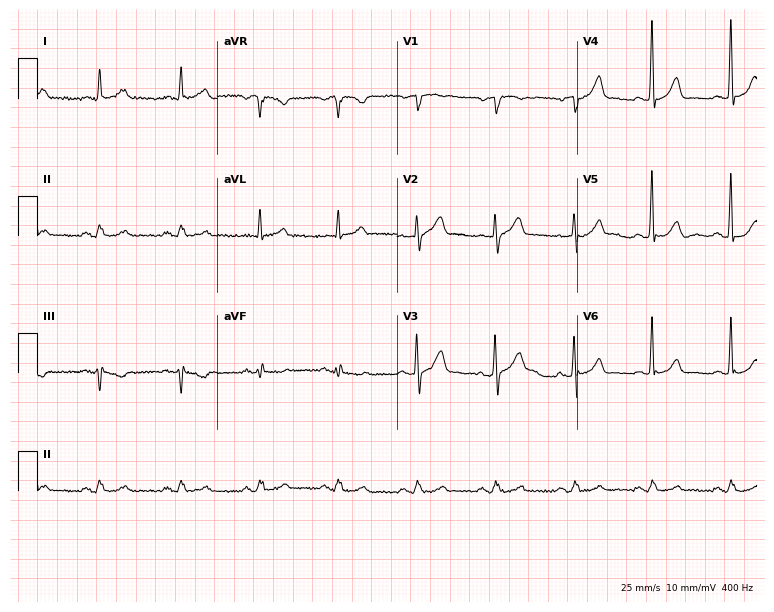
Electrocardiogram (7.3-second recording at 400 Hz), a 59-year-old male patient. Overall reading on record: normal ECG.